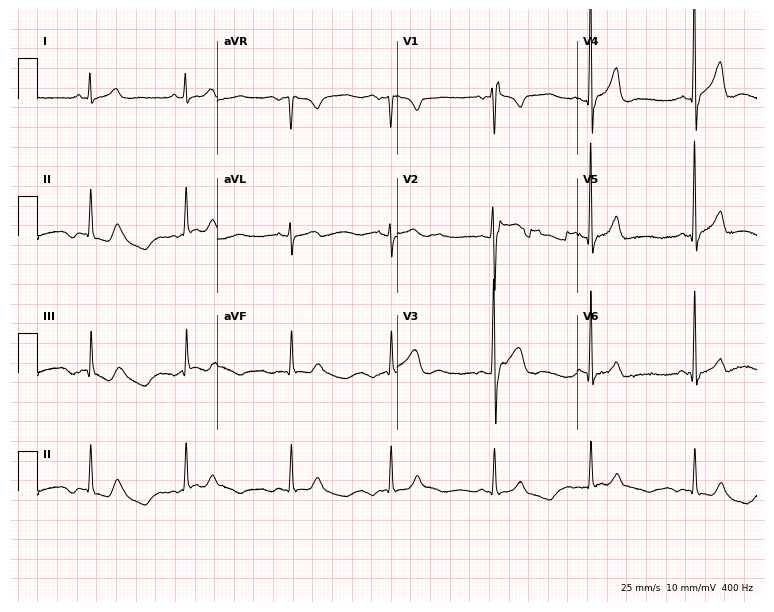
12-lead ECG from an 18-year-old man (7.3-second recording at 400 Hz). No first-degree AV block, right bundle branch block, left bundle branch block, sinus bradycardia, atrial fibrillation or sinus tachycardia recorded for this tracing.